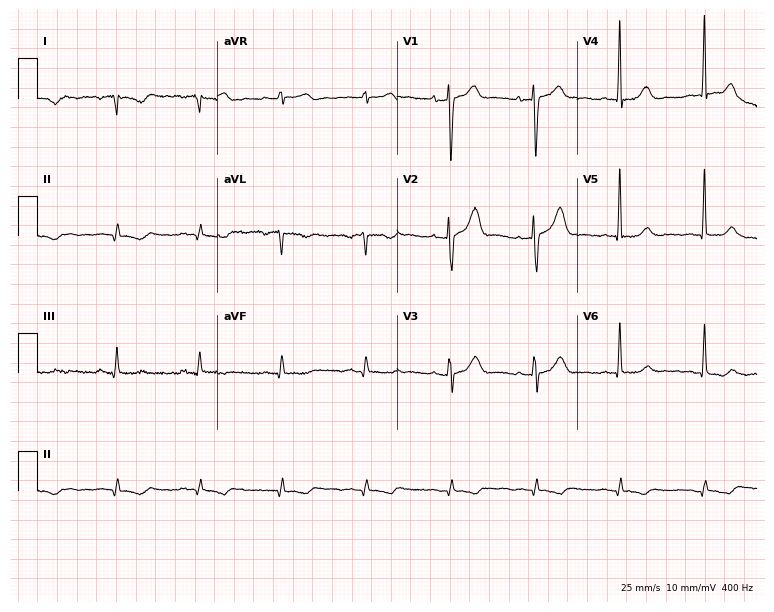
ECG — a woman, 74 years old. Screened for six findings — first-degree AV block, right bundle branch block, left bundle branch block, sinus bradycardia, atrial fibrillation, sinus tachycardia — none is recorded. Only these six findings were labelled.